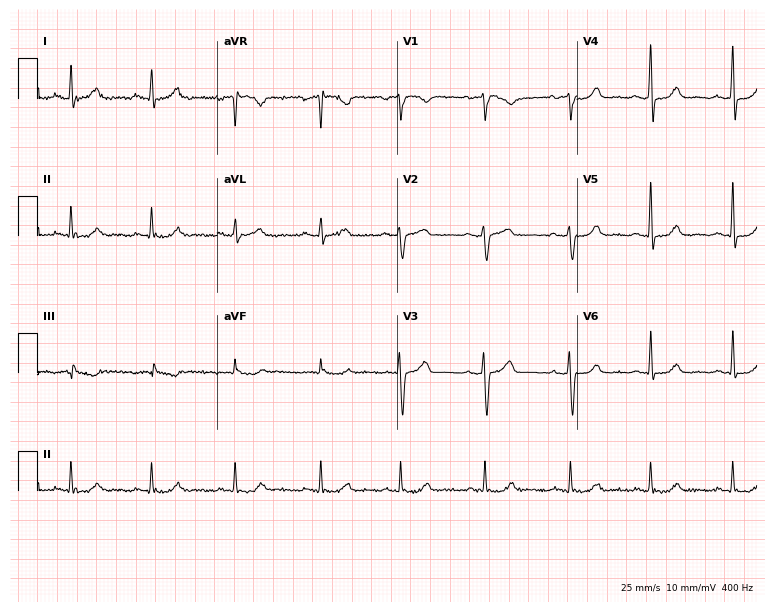
12-lead ECG (7.3-second recording at 400 Hz) from a 48-year-old woman. Labelled as a normal ECG.